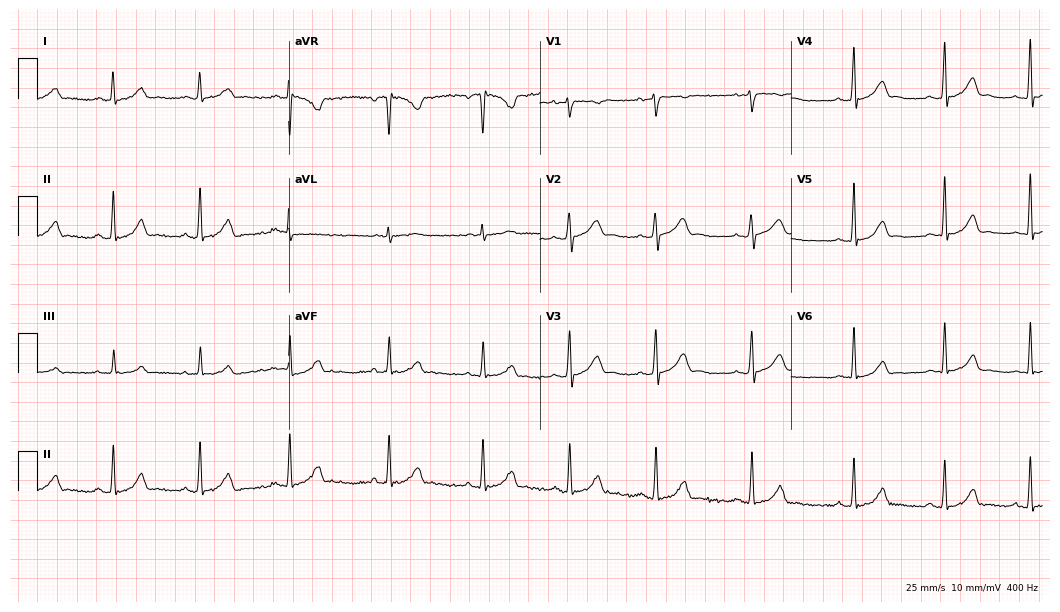
Resting 12-lead electrocardiogram. Patient: a female, 28 years old. None of these six findings is recorded: first-degree AV block, right bundle branch block, left bundle branch block, sinus bradycardia, atrial fibrillation, sinus tachycardia. Only these six findings were labelled.